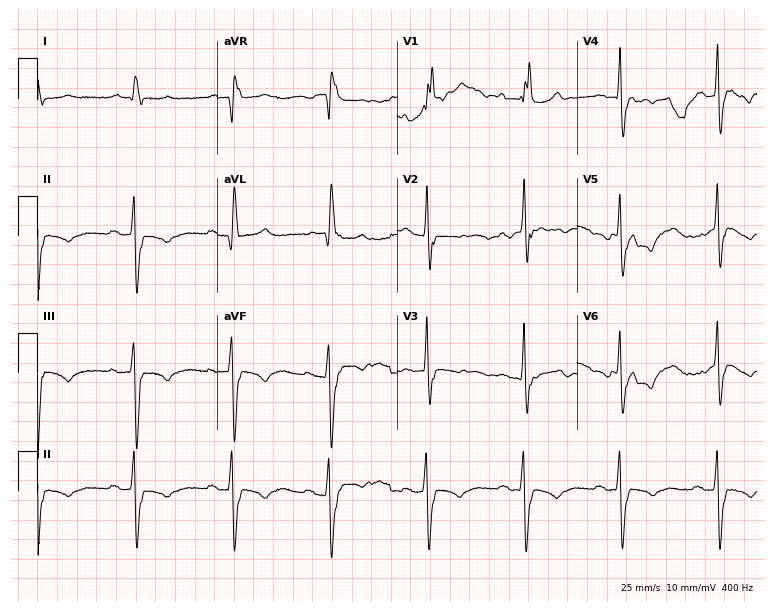
12-lead ECG from a male patient, 81 years old. No first-degree AV block, right bundle branch block, left bundle branch block, sinus bradycardia, atrial fibrillation or sinus tachycardia recorded for this tracing. Other findings, if any, are not listed.